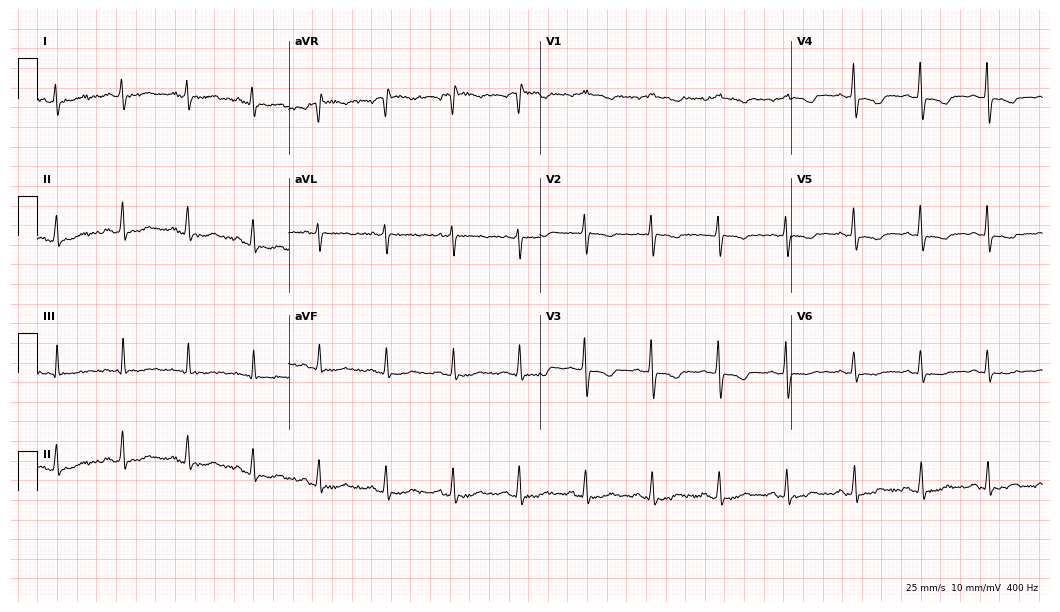
Electrocardiogram (10.2-second recording at 400 Hz), a 72-year-old female patient. Of the six screened findings (first-degree AV block, right bundle branch block (RBBB), left bundle branch block (LBBB), sinus bradycardia, atrial fibrillation (AF), sinus tachycardia), none is recorded.